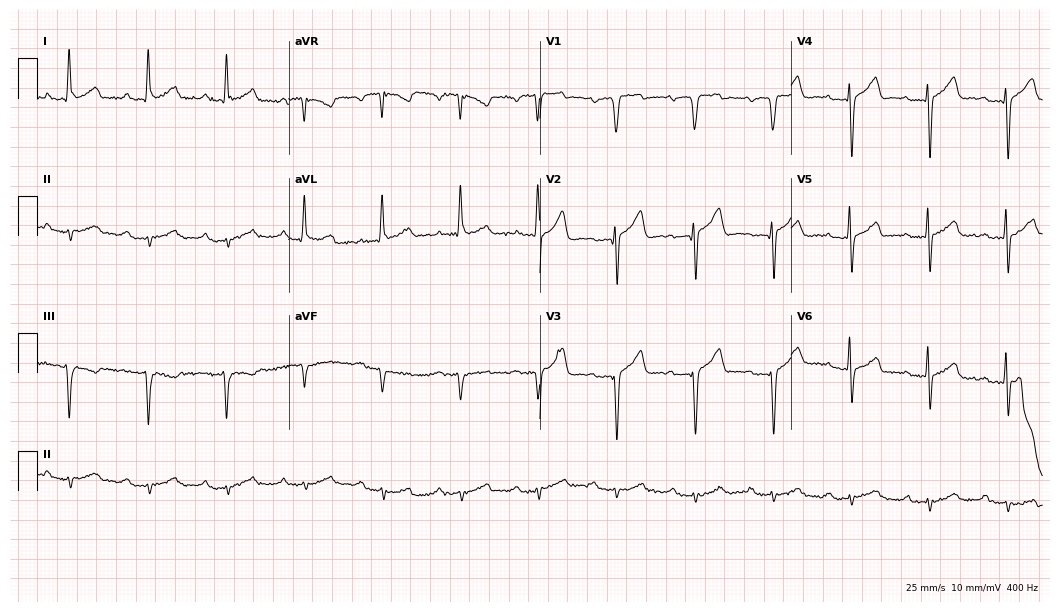
ECG (10.2-second recording at 400 Hz) — an 80-year-old male patient. Findings include first-degree AV block.